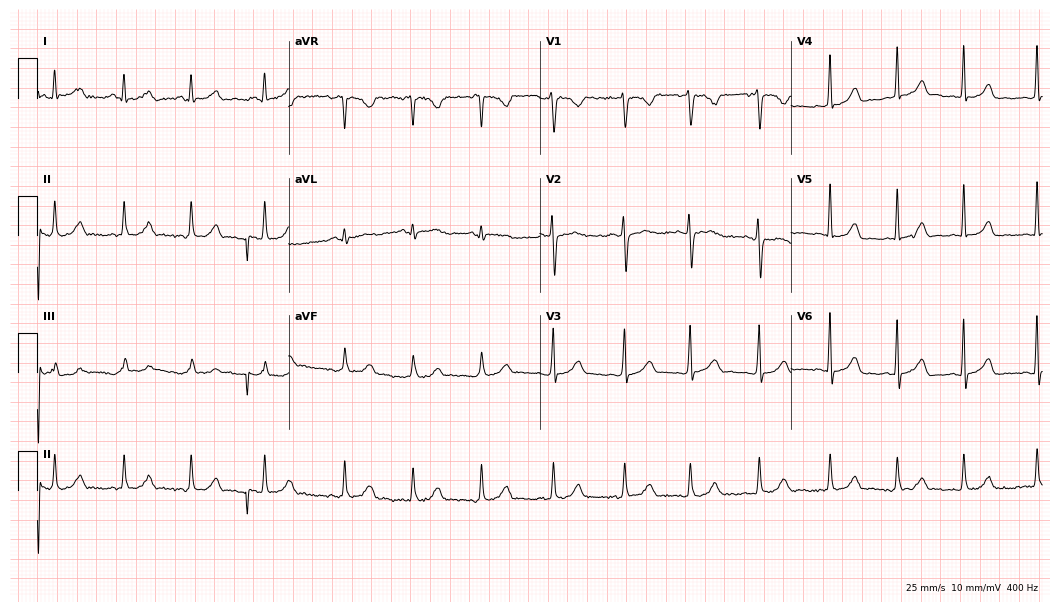
Resting 12-lead electrocardiogram (10.2-second recording at 400 Hz). Patient: a female, 17 years old. None of these six findings is recorded: first-degree AV block, right bundle branch block, left bundle branch block, sinus bradycardia, atrial fibrillation, sinus tachycardia. Other findings, if any, are not listed.